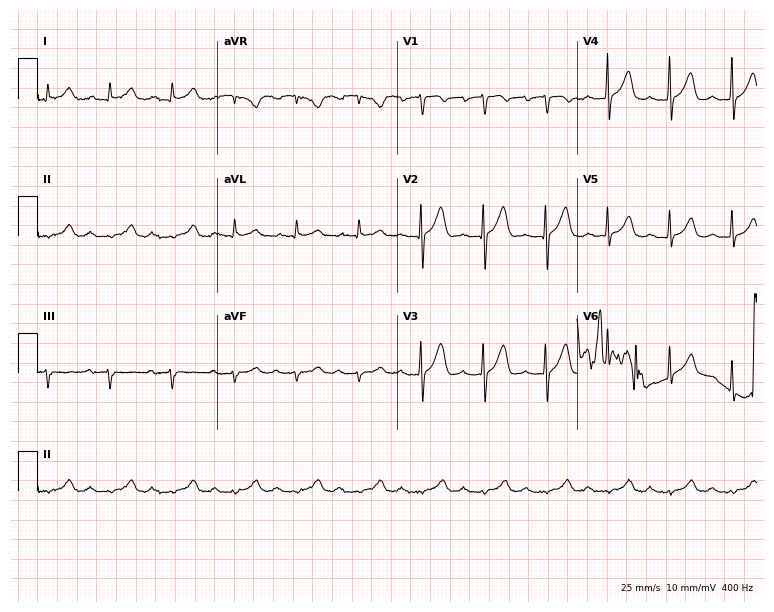
Standard 12-lead ECG recorded from a 78-year-old man. Read as a normal ECG.